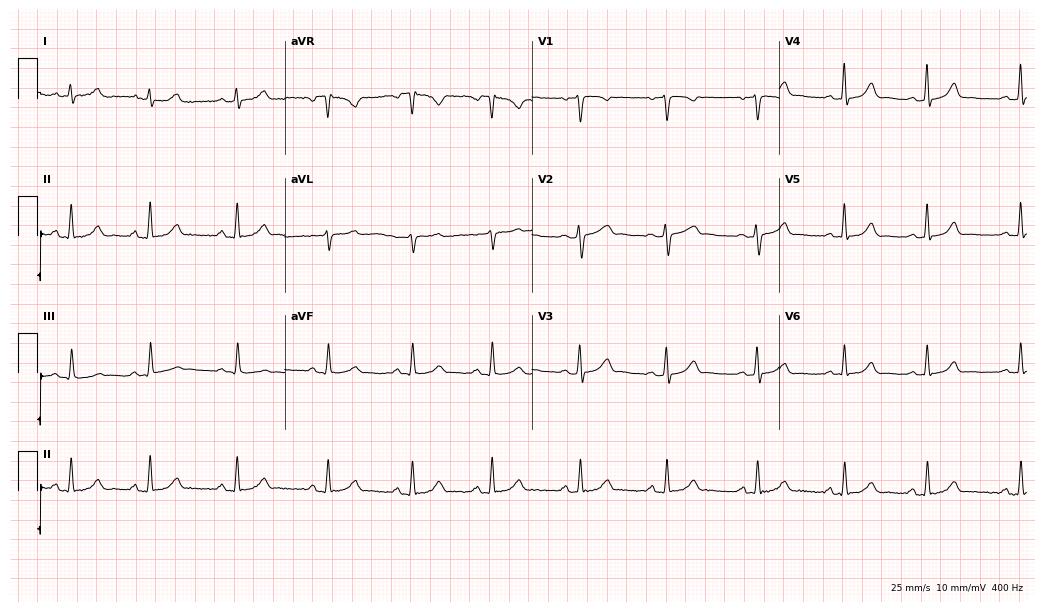
Resting 12-lead electrocardiogram. Patient: a 24-year-old woman. Read as a normal ECG.